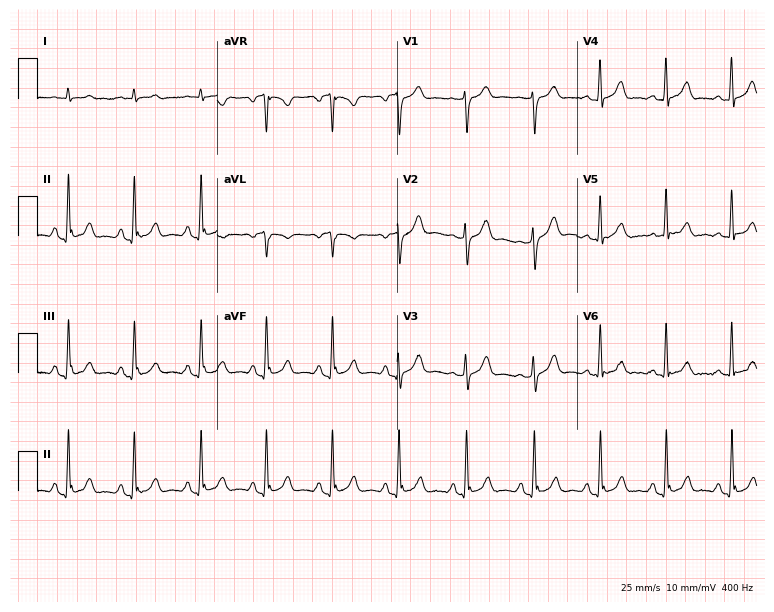
12-lead ECG (7.3-second recording at 400 Hz) from a male patient, 44 years old. Screened for six findings — first-degree AV block, right bundle branch block, left bundle branch block, sinus bradycardia, atrial fibrillation, sinus tachycardia — none is recorded. Other findings, if any, are not listed.